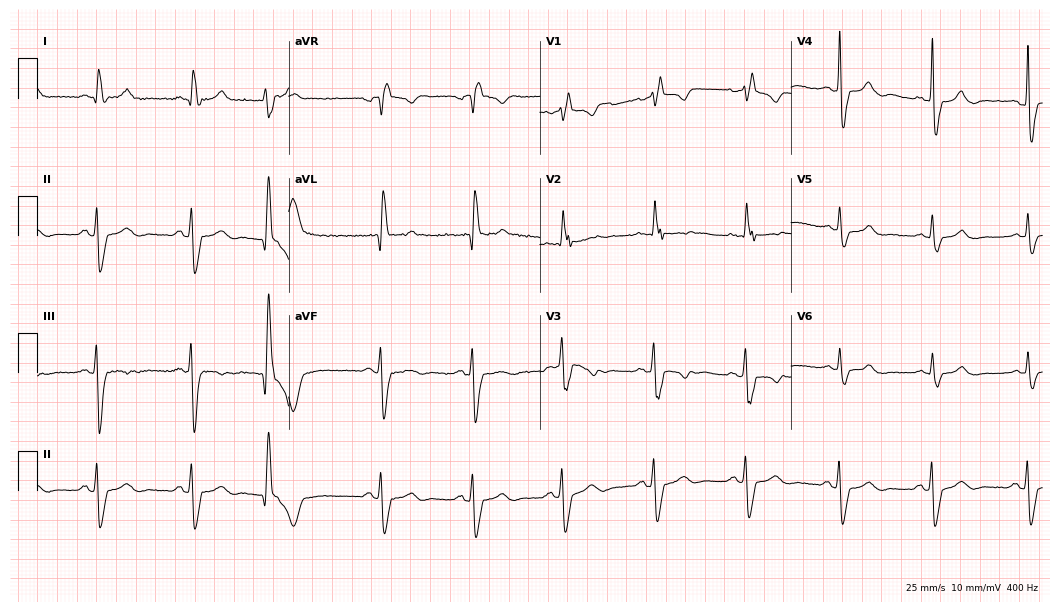
Resting 12-lead electrocardiogram. Patient: an 83-year-old male. The tracing shows right bundle branch block.